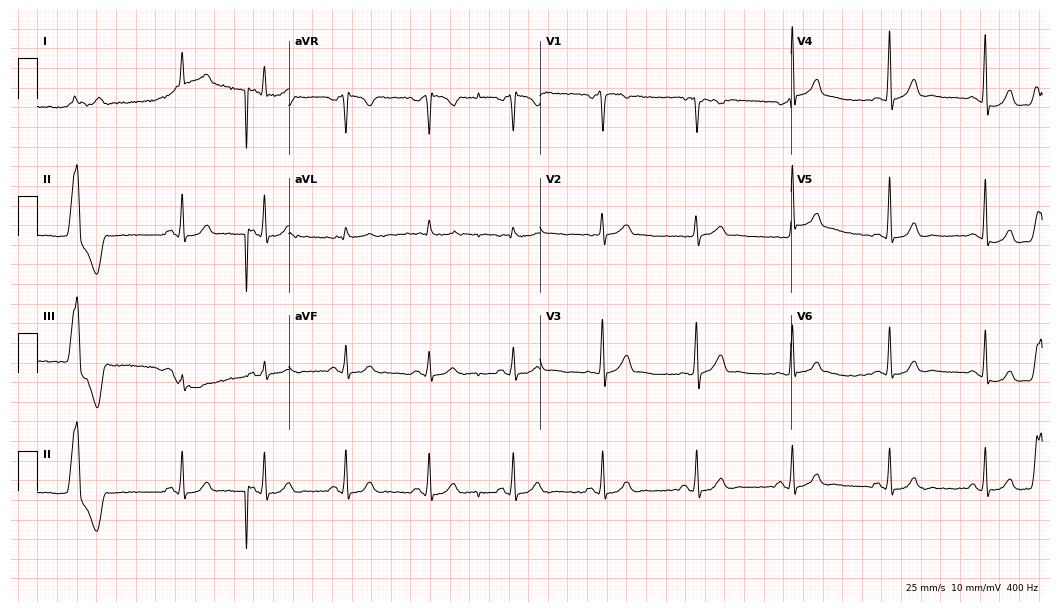
12-lead ECG from a male patient, 52 years old (10.2-second recording at 400 Hz). Recorded interpretation: within normal limits.